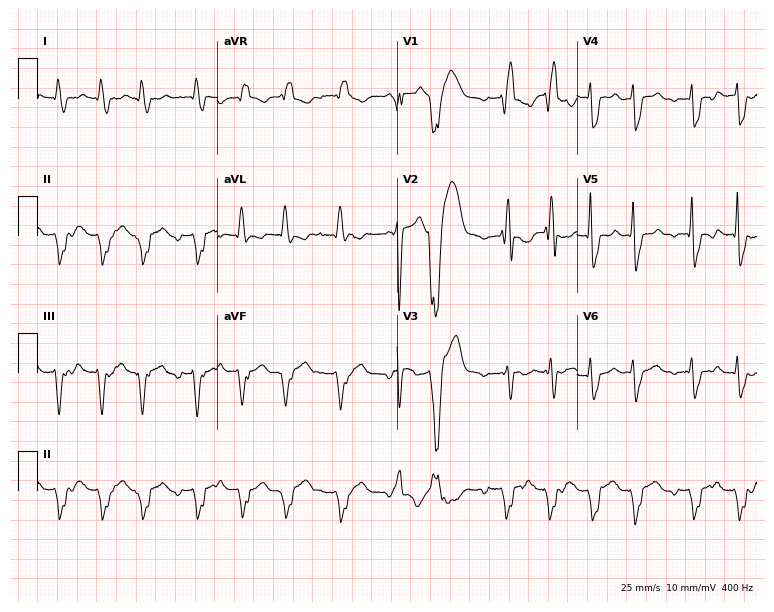
Resting 12-lead electrocardiogram (7.3-second recording at 400 Hz). Patient: a 76-year-old woman. The tracing shows right bundle branch block, atrial fibrillation.